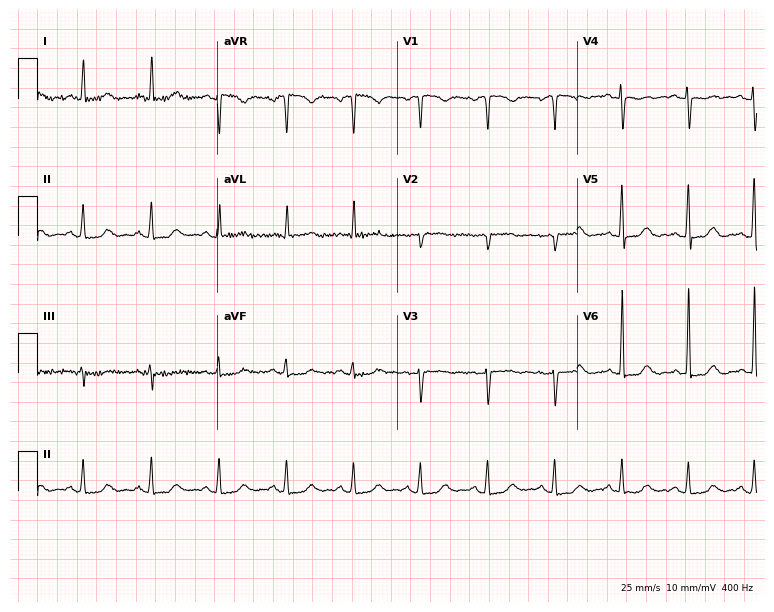
Electrocardiogram, a female, 77 years old. Of the six screened findings (first-degree AV block, right bundle branch block, left bundle branch block, sinus bradycardia, atrial fibrillation, sinus tachycardia), none is recorded.